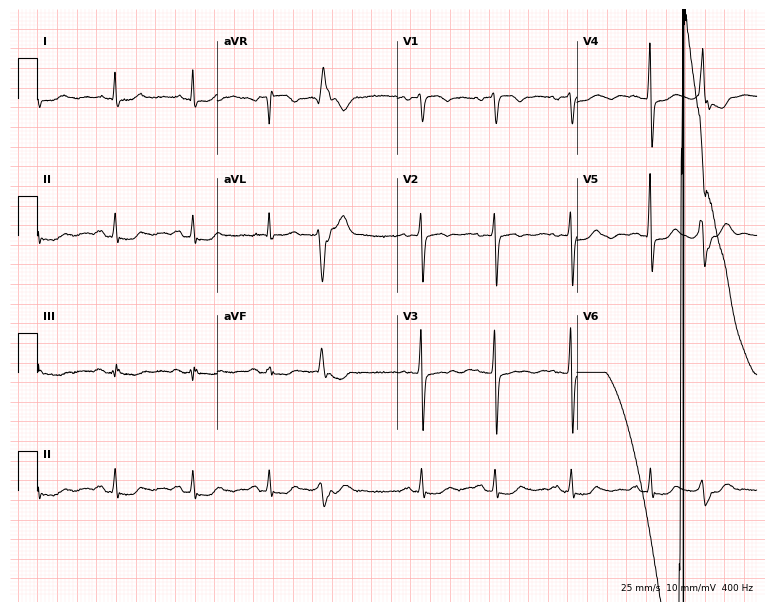
12-lead ECG (7.3-second recording at 400 Hz) from a 70-year-old woman. Screened for six findings — first-degree AV block, right bundle branch block, left bundle branch block, sinus bradycardia, atrial fibrillation, sinus tachycardia — none is recorded. Other findings, if any, are not listed.